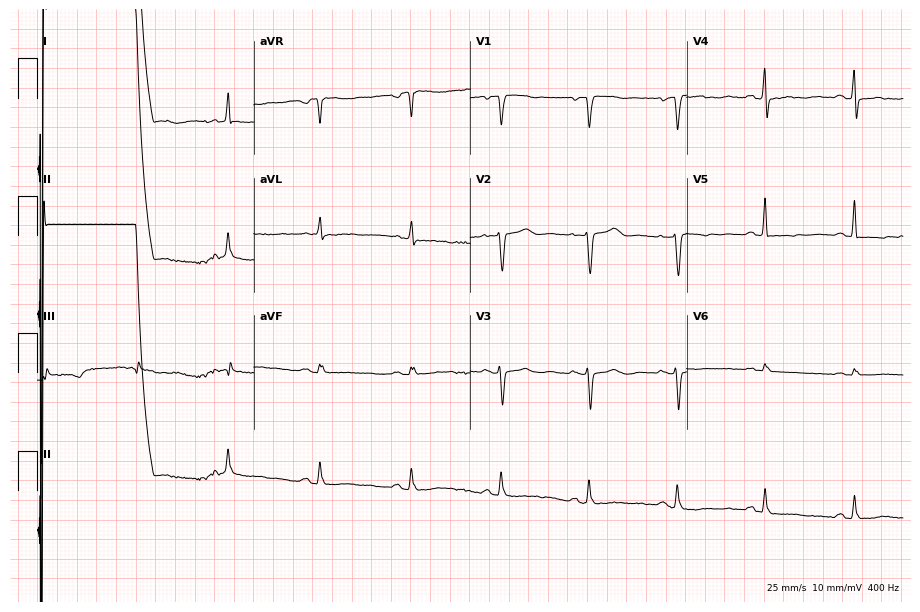
Standard 12-lead ECG recorded from a 54-year-old woman (8.8-second recording at 400 Hz). None of these six findings is recorded: first-degree AV block, right bundle branch block (RBBB), left bundle branch block (LBBB), sinus bradycardia, atrial fibrillation (AF), sinus tachycardia. Only these six findings were labelled.